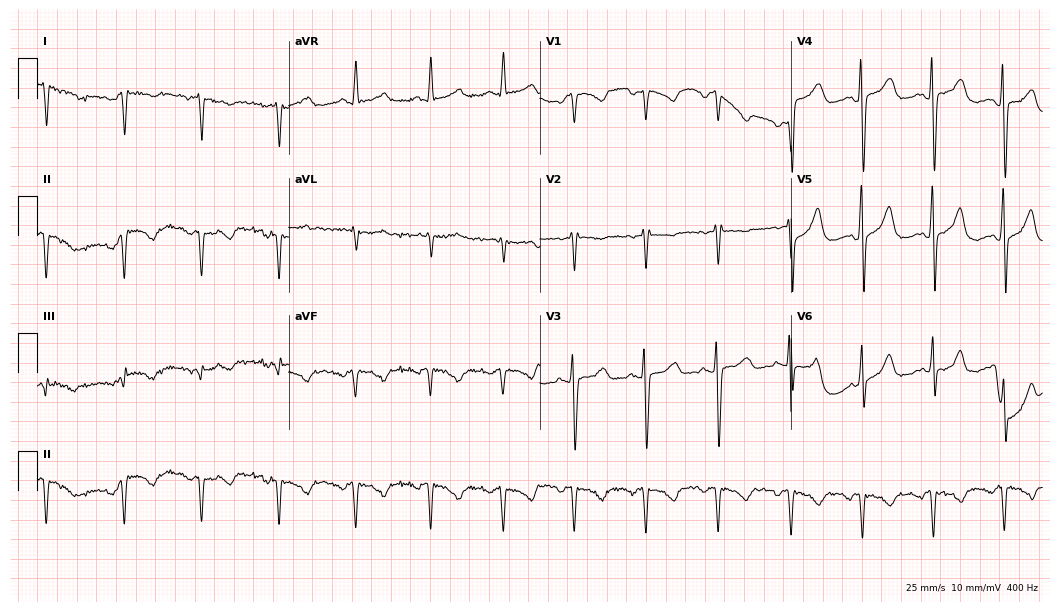
12-lead ECG (10.2-second recording at 400 Hz) from a male patient, 39 years old. Screened for six findings — first-degree AV block, right bundle branch block, left bundle branch block, sinus bradycardia, atrial fibrillation, sinus tachycardia — none is recorded.